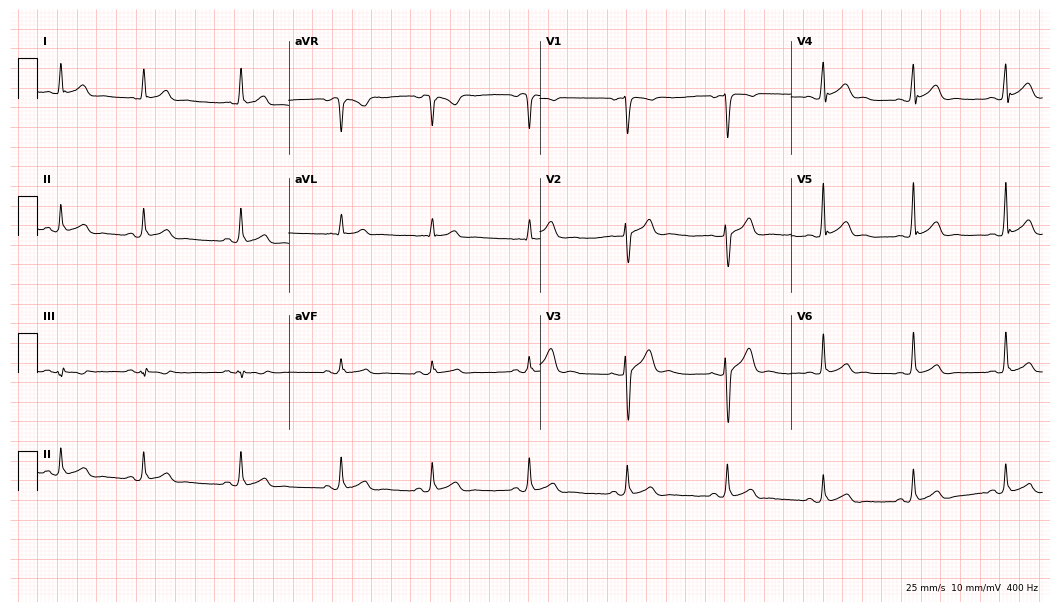
12-lead ECG from a 22-year-old male patient. Labelled as a normal ECG.